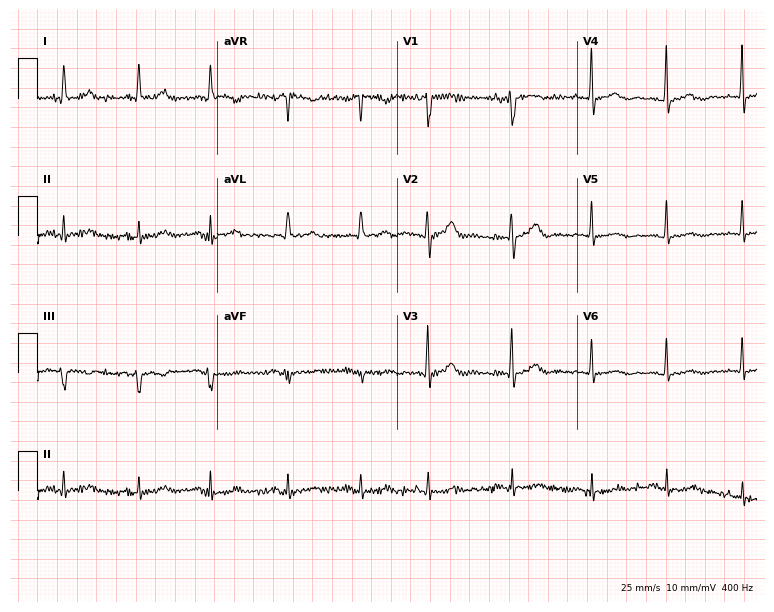
Standard 12-lead ECG recorded from a 75-year-old female. None of these six findings is recorded: first-degree AV block, right bundle branch block, left bundle branch block, sinus bradycardia, atrial fibrillation, sinus tachycardia.